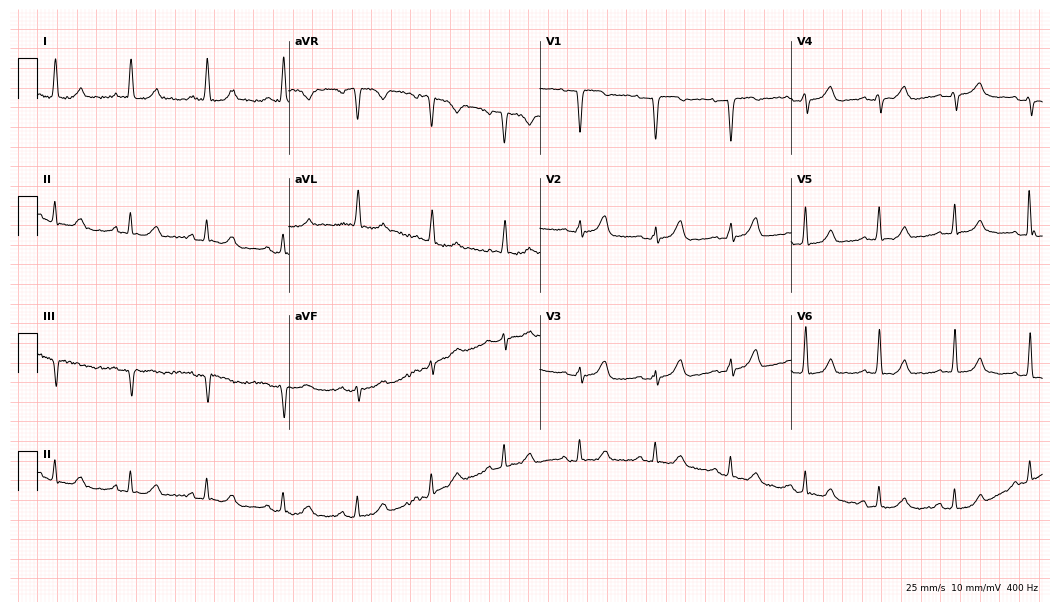
Standard 12-lead ECG recorded from a 59-year-old woman (10.2-second recording at 400 Hz). None of these six findings is recorded: first-degree AV block, right bundle branch block, left bundle branch block, sinus bradycardia, atrial fibrillation, sinus tachycardia. Findings outside these six are not listed.